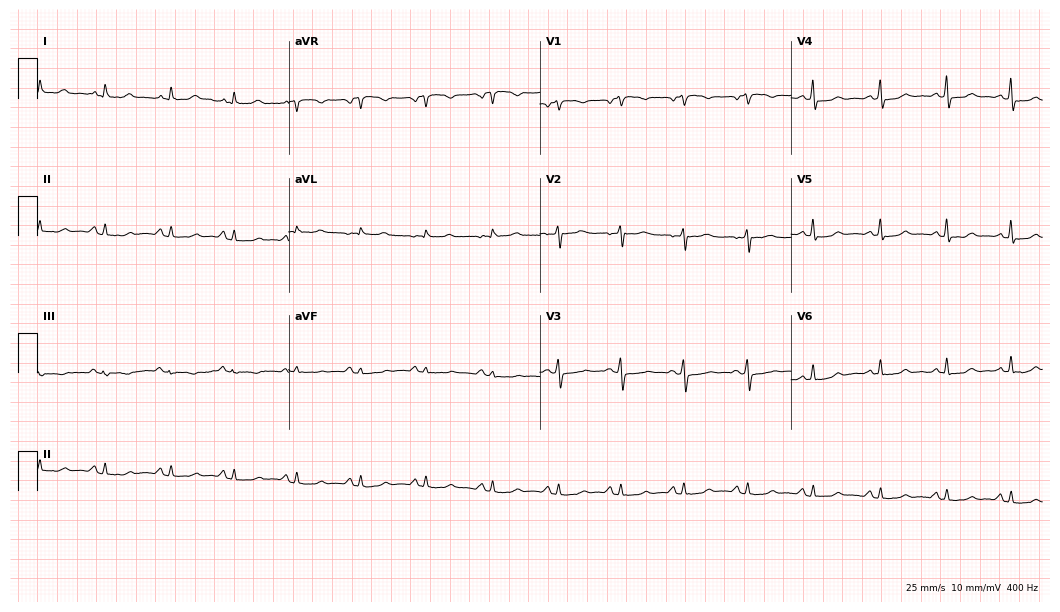
ECG — a 53-year-old woman. Labelled as a normal ECG.